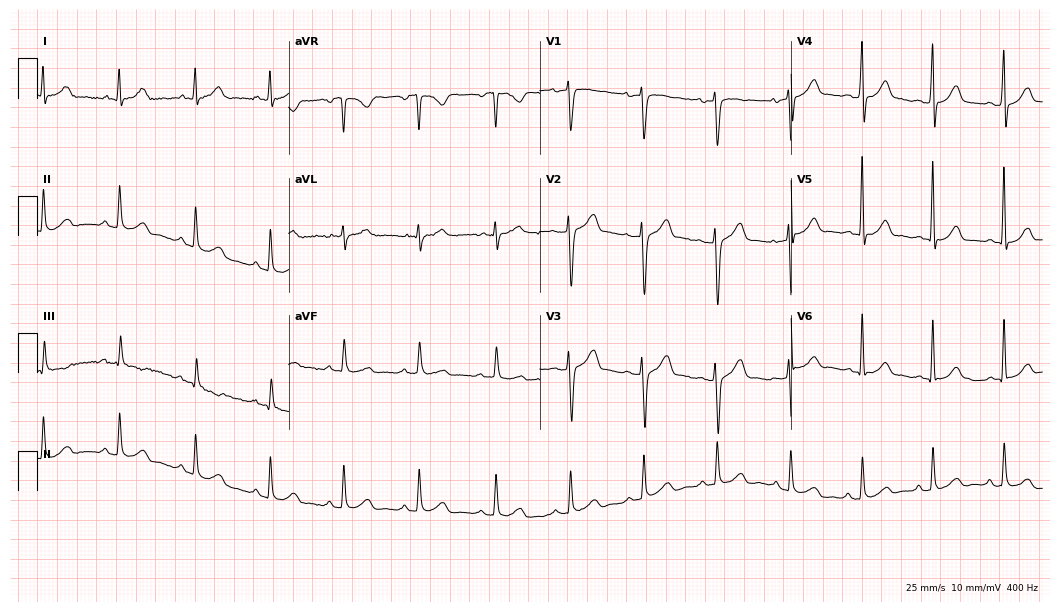
Resting 12-lead electrocardiogram (10.2-second recording at 400 Hz). Patient: a male, 23 years old. Read as a normal ECG.